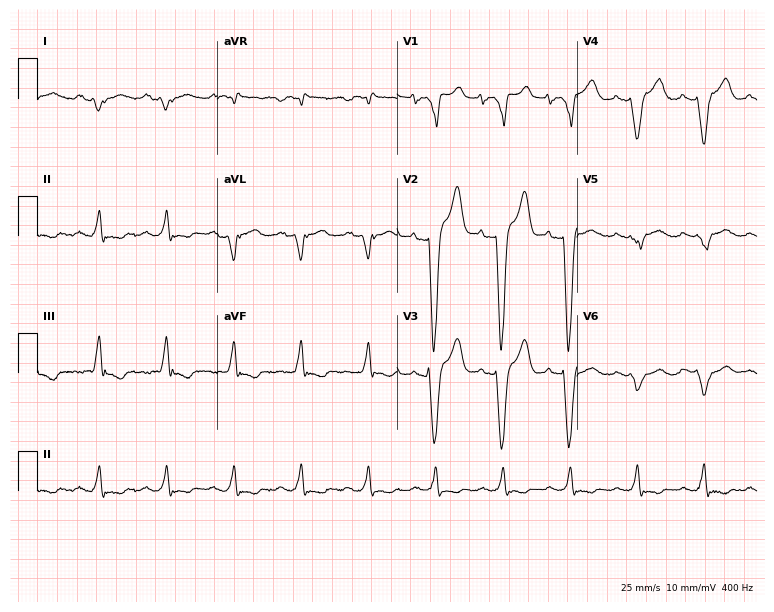
12-lead ECG from a man, 52 years old. Shows left bundle branch block.